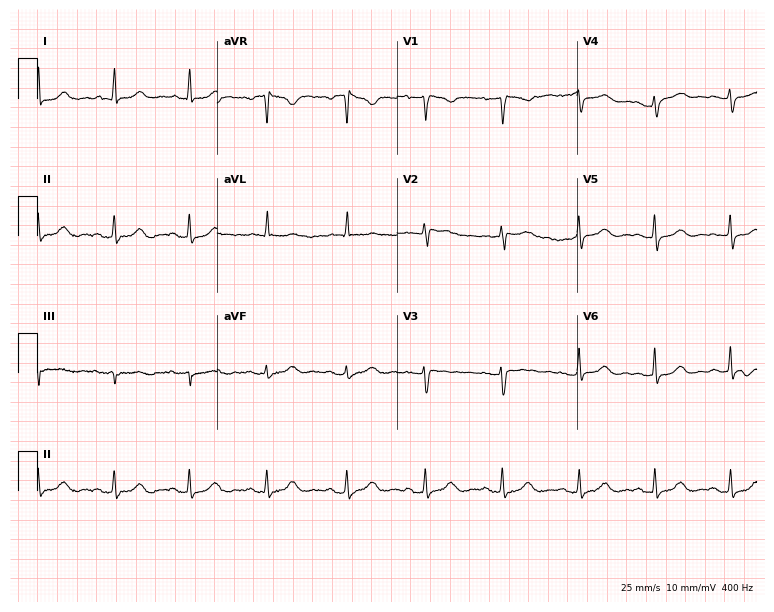
Electrocardiogram, a 51-year-old woman. Overall reading on record: normal ECG.